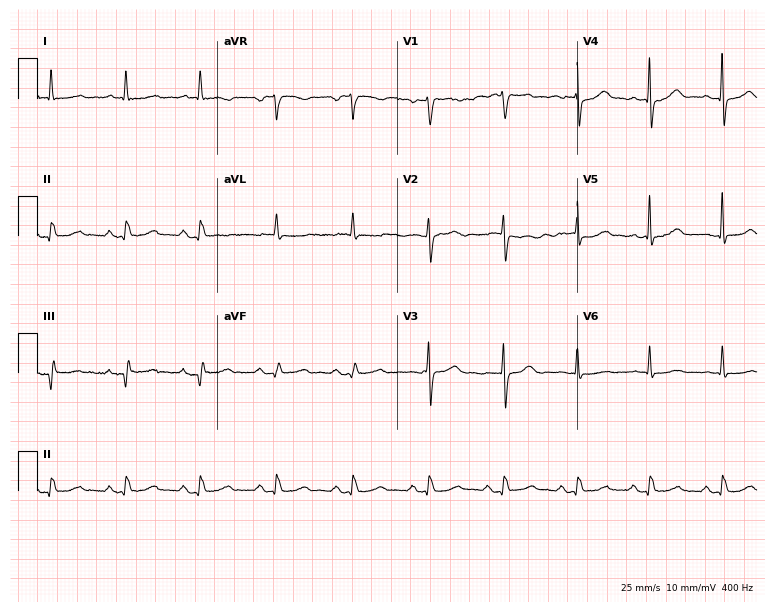
ECG — a 70-year-old female patient. Labelled as a normal ECG.